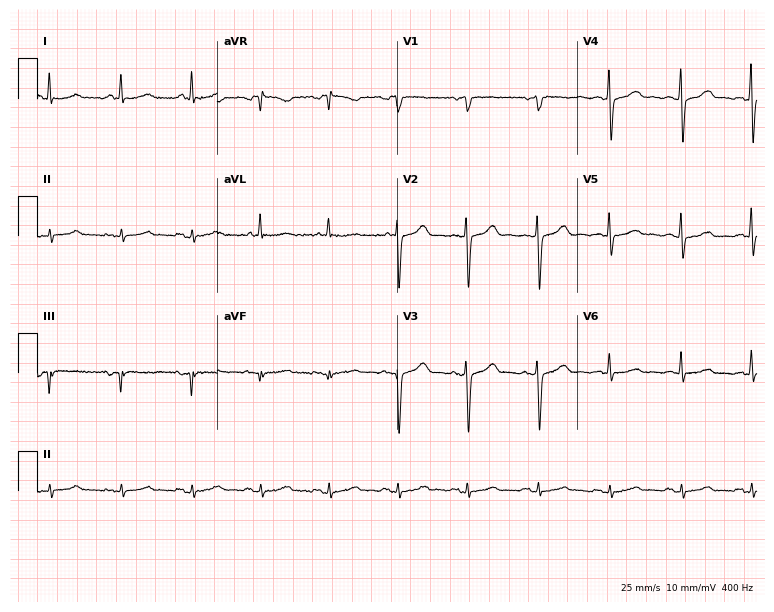
Resting 12-lead electrocardiogram. Patient: a woman, 68 years old. Read as a normal ECG.